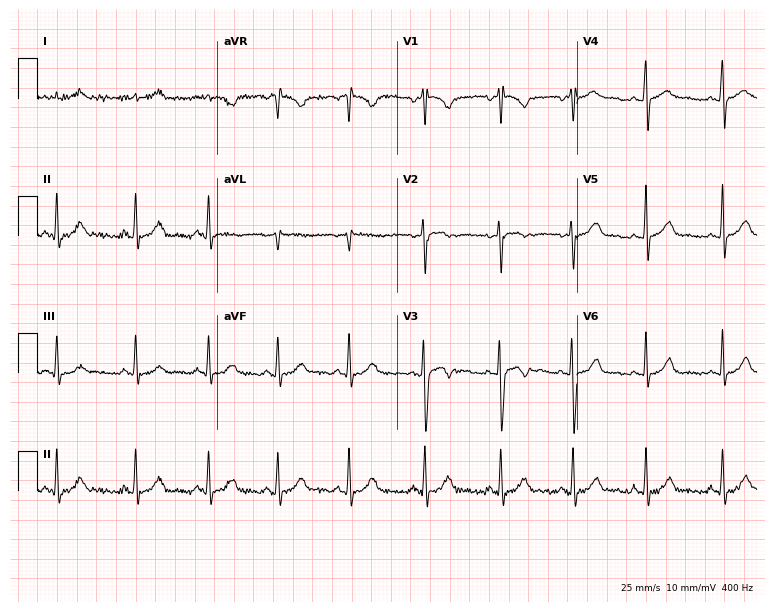
12-lead ECG (7.3-second recording at 400 Hz) from a female, 28 years old. Screened for six findings — first-degree AV block, right bundle branch block, left bundle branch block, sinus bradycardia, atrial fibrillation, sinus tachycardia — none is recorded.